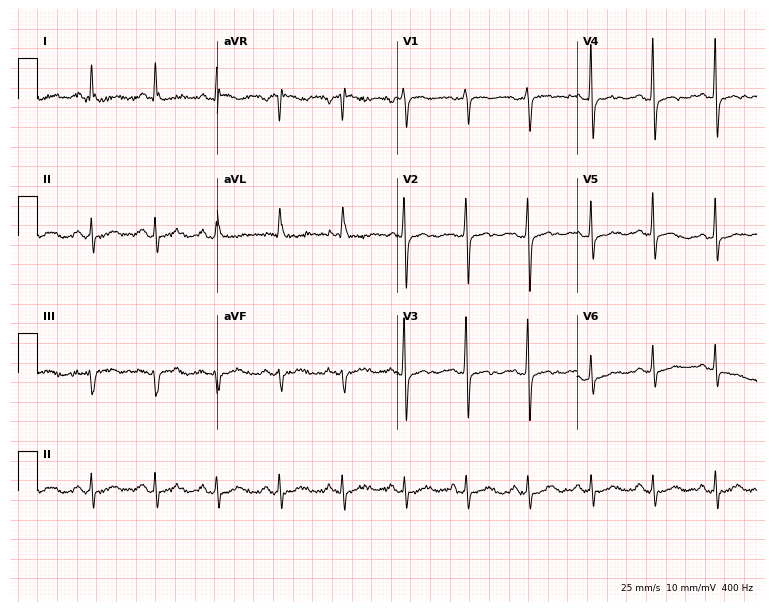
12-lead ECG from a 70-year-old female (7.3-second recording at 400 Hz). No first-degree AV block, right bundle branch block, left bundle branch block, sinus bradycardia, atrial fibrillation or sinus tachycardia recorded for this tracing.